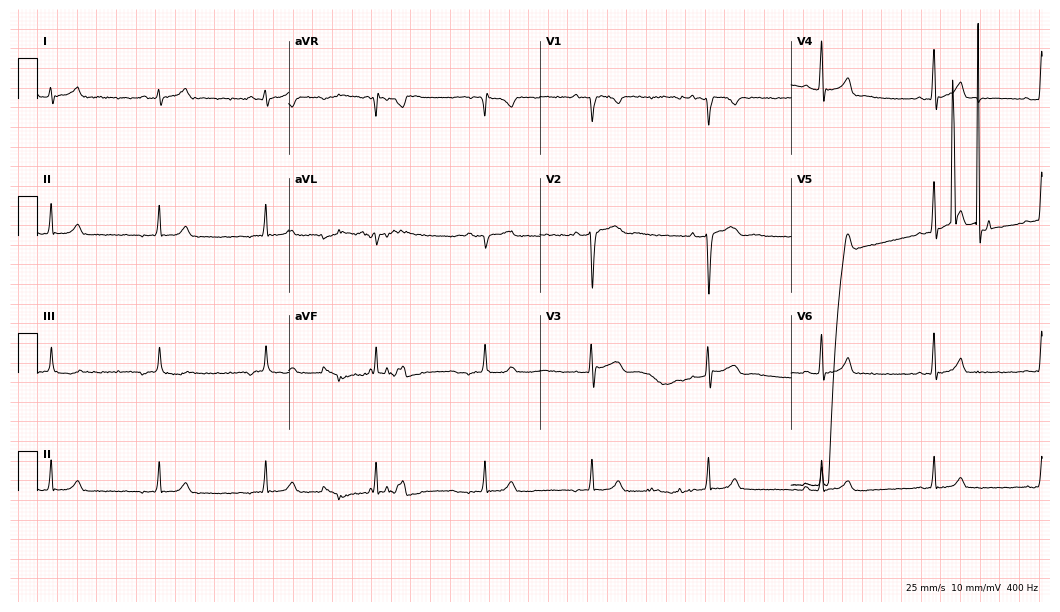
Resting 12-lead electrocardiogram (10.2-second recording at 400 Hz). Patient: a male, 21 years old. None of these six findings is recorded: first-degree AV block, right bundle branch block, left bundle branch block, sinus bradycardia, atrial fibrillation, sinus tachycardia.